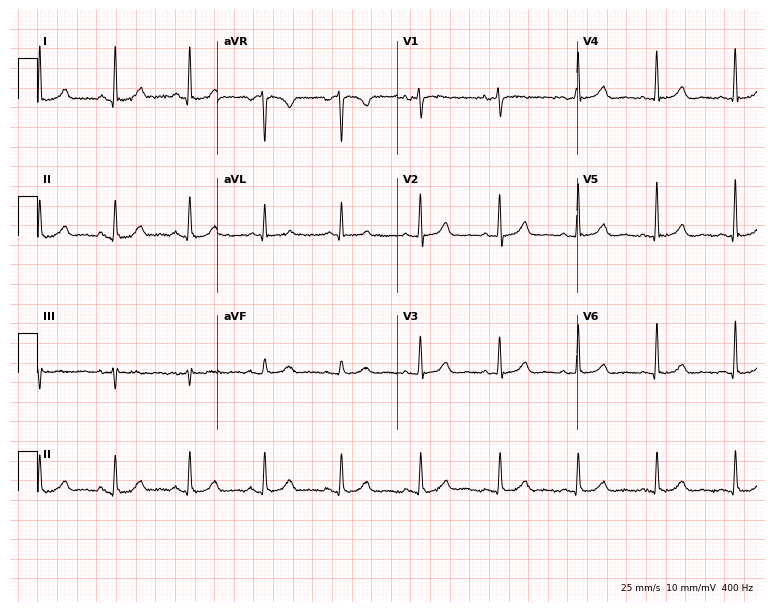
ECG (7.3-second recording at 400 Hz) — a woman, 58 years old. Labelled as a normal ECG.